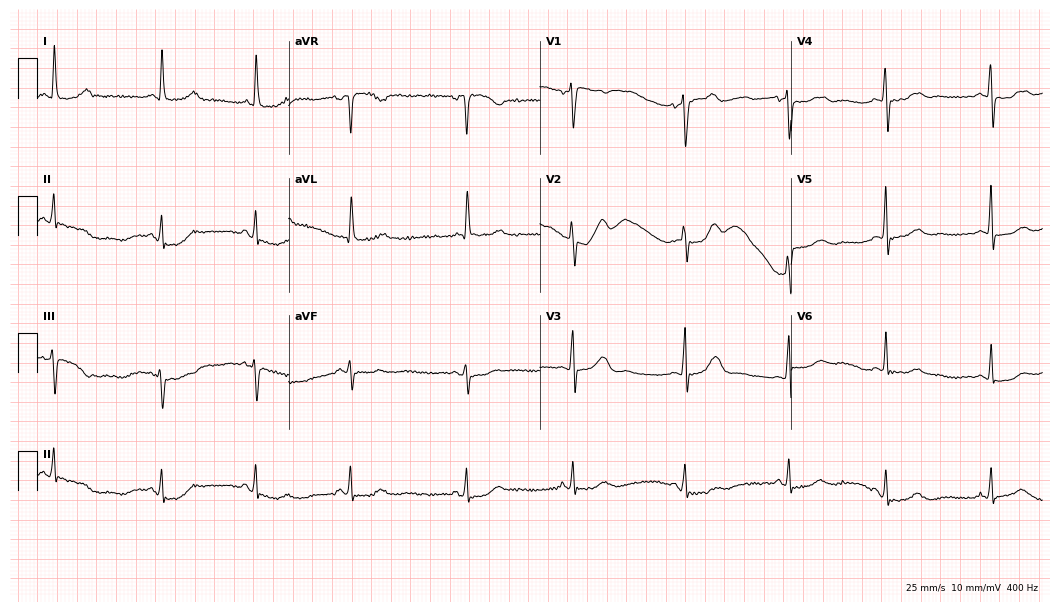
12-lead ECG from a 63-year-old woman (10.2-second recording at 400 Hz). Recorded interpretation: within normal limits.